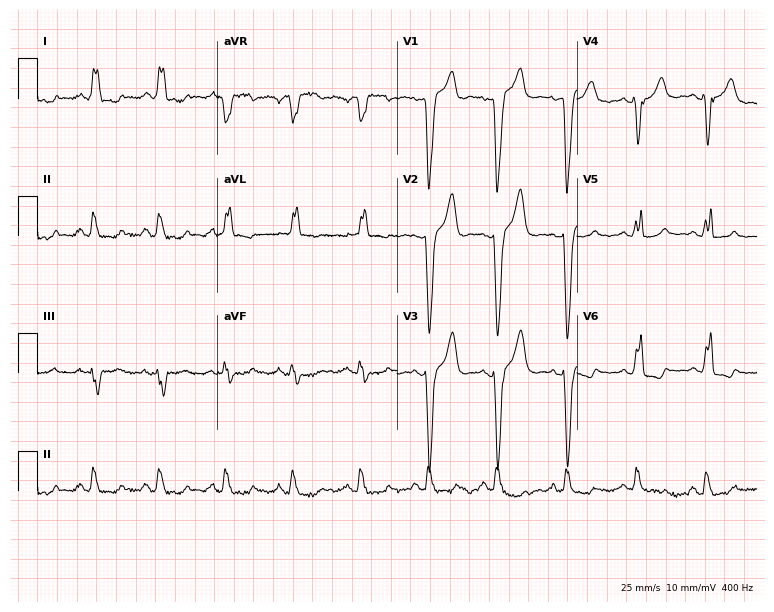
Resting 12-lead electrocardiogram (7.3-second recording at 400 Hz). Patient: a 45-year-old female. The tracing shows left bundle branch block (LBBB).